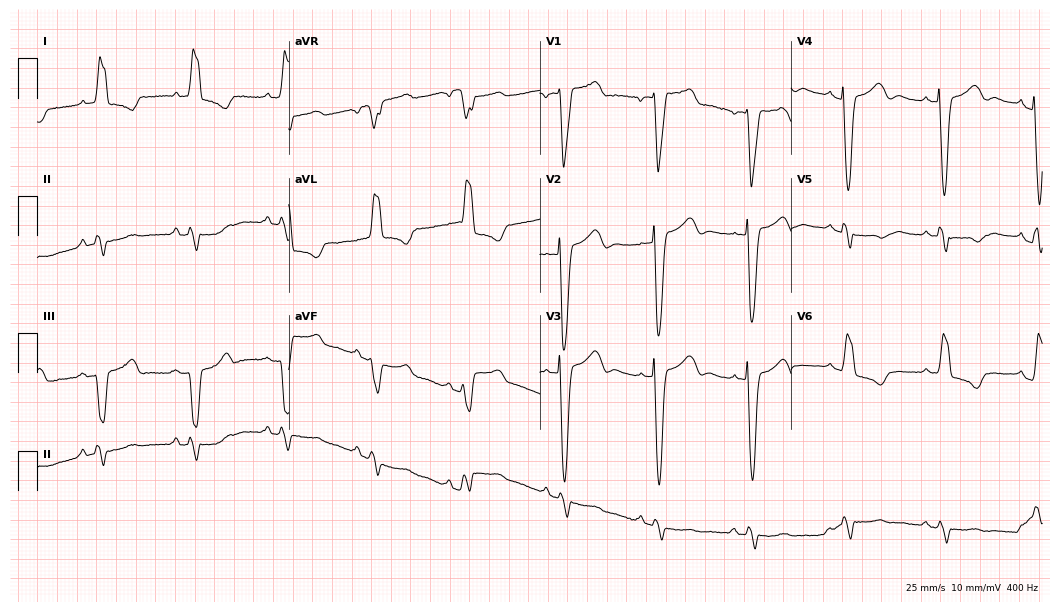
Resting 12-lead electrocardiogram. Patient: a female, 67 years old. The tracing shows left bundle branch block.